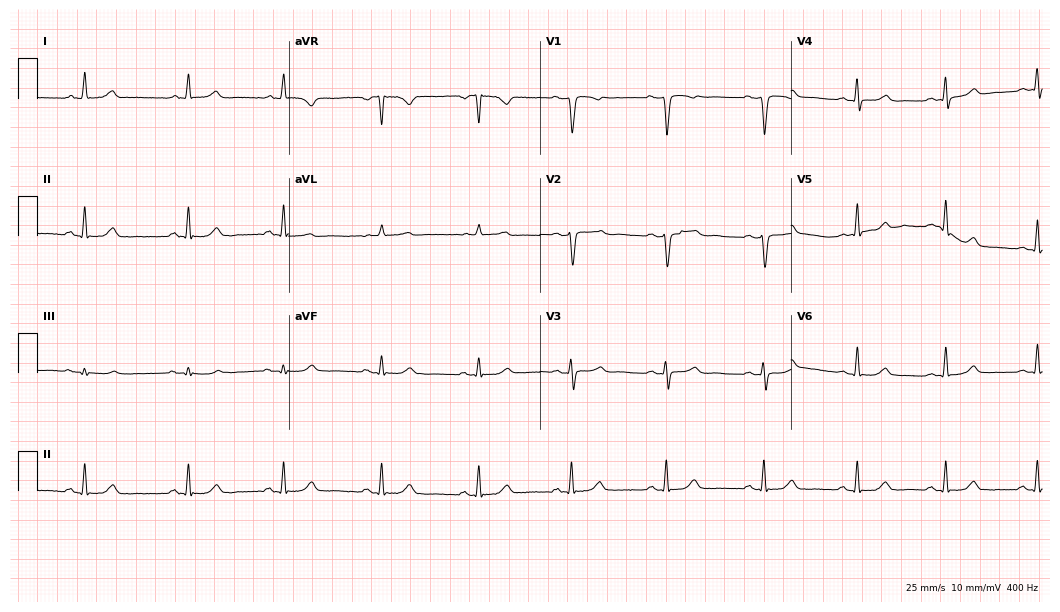
12-lead ECG from a 57-year-old woman (10.2-second recording at 400 Hz). No first-degree AV block, right bundle branch block, left bundle branch block, sinus bradycardia, atrial fibrillation or sinus tachycardia recorded for this tracing. Other findings, if any, are not listed.